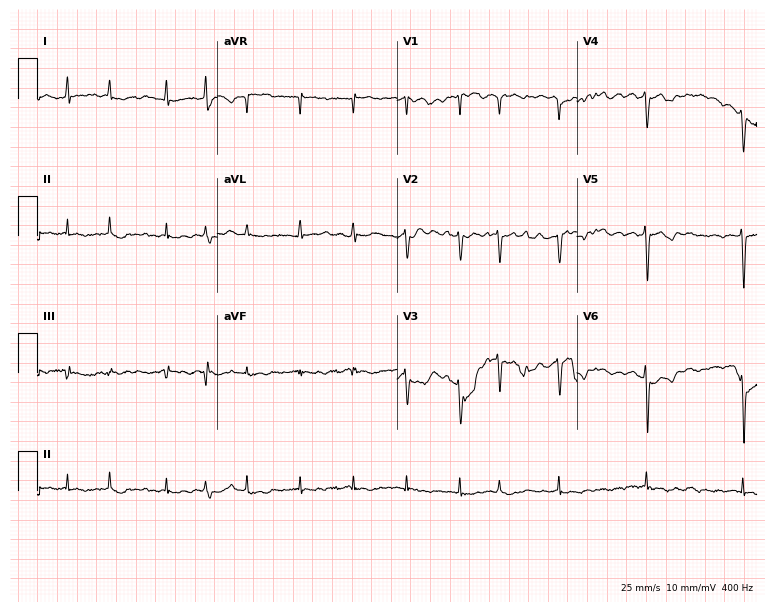
12-lead ECG from a 77-year-old female (7.3-second recording at 400 Hz). Shows atrial fibrillation.